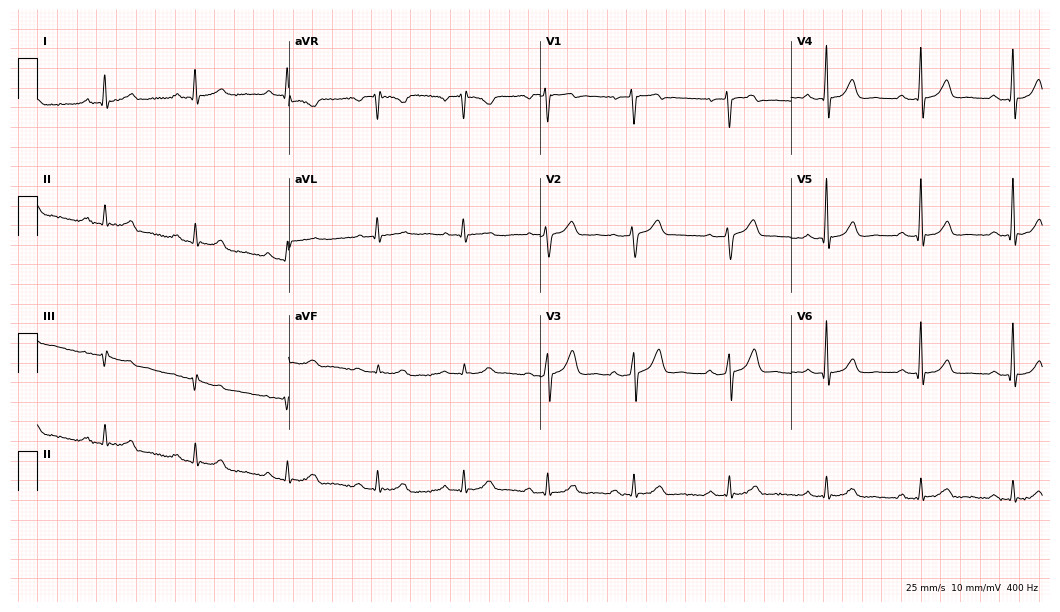
12-lead ECG (10.2-second recording at 400 Hz) from a 39-year-old male patient. Findings include first-degree AV block.